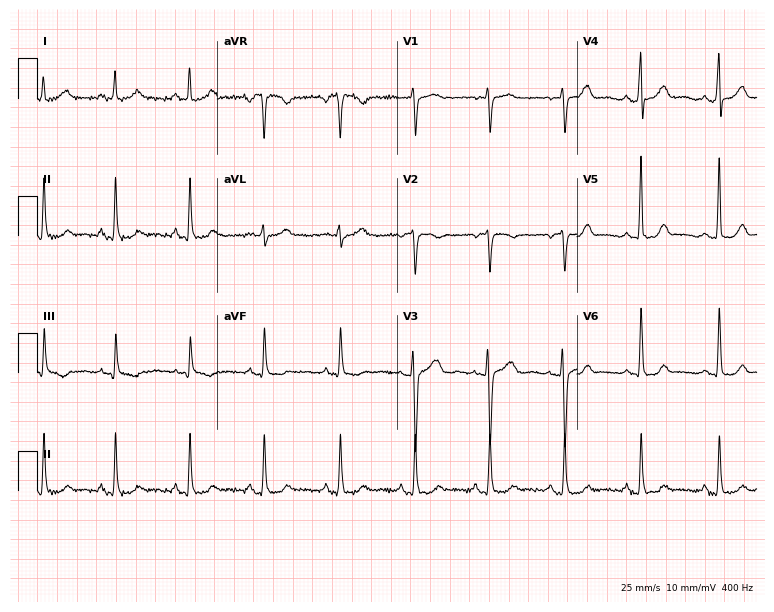
12-lead ECG (7.3-second recording at 400 Hz) from a woman, 29 years old. Labelled as a normal ECG.